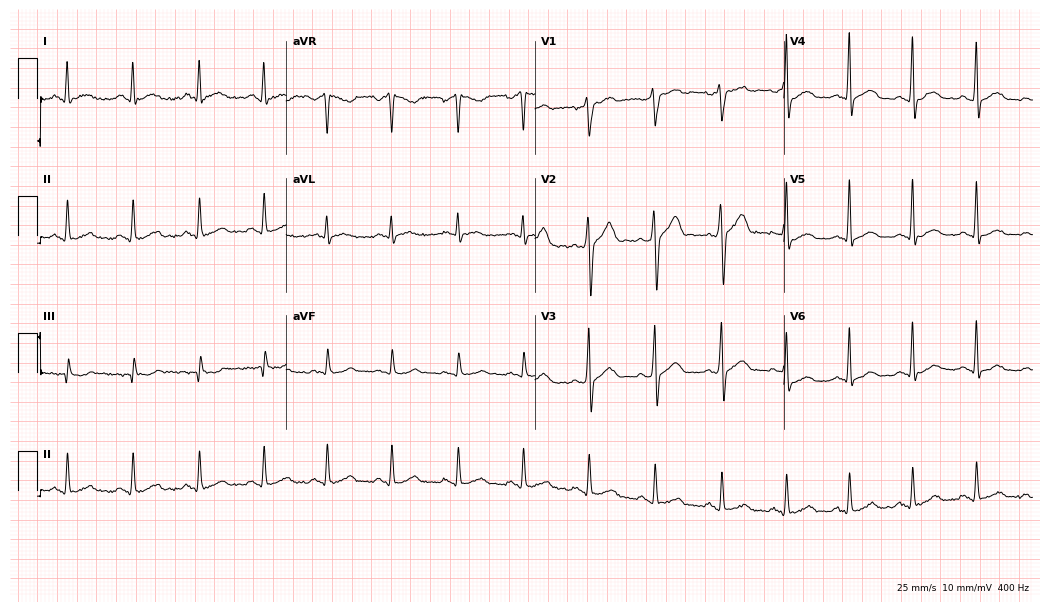
12-lead ECG from a male patient, 32 years old (10.1-second recording at 400 Hz). Recorded interpretation: within normal limits.